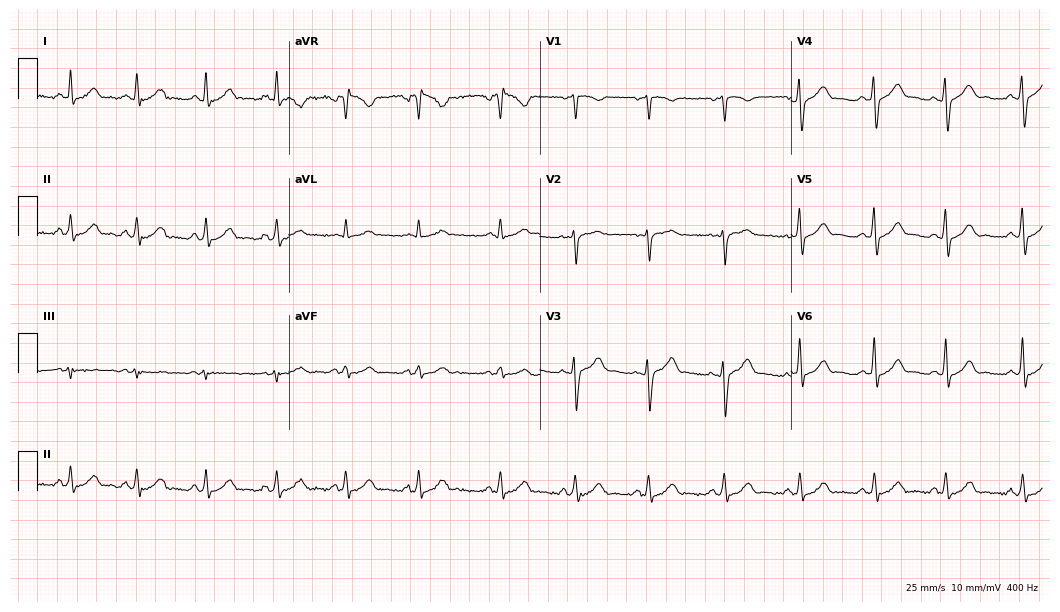
Electrocardiogram (10.2-second recording at 400 Hz), a 28-year-old male patient. Overall reading on record: normal ECG.